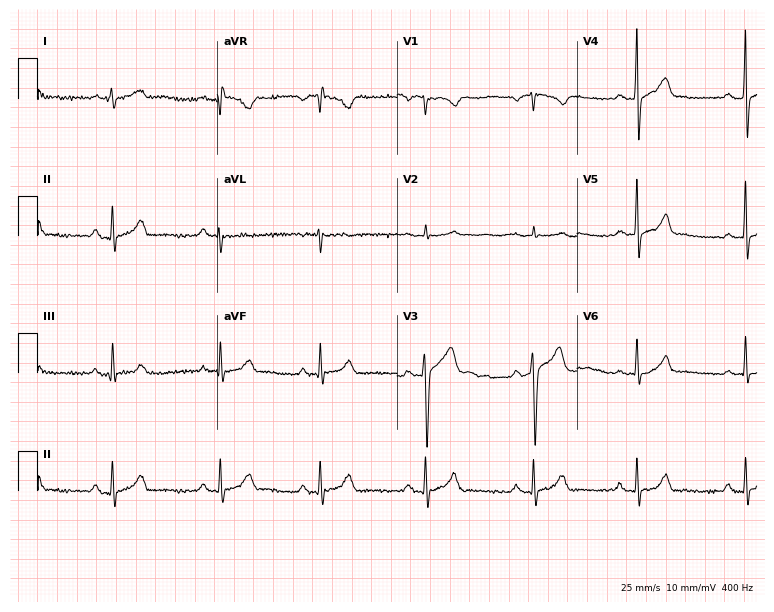
Standard 12-lead ECG recorded from a 24-year-old male patient (7.3-second recording at 400 Hz). None of these six findings is recorded: first-degree AV block, right bundle branch block, left bundle branch block, sinus bradycardia, atrial fibrillation, sinus tachycardia.